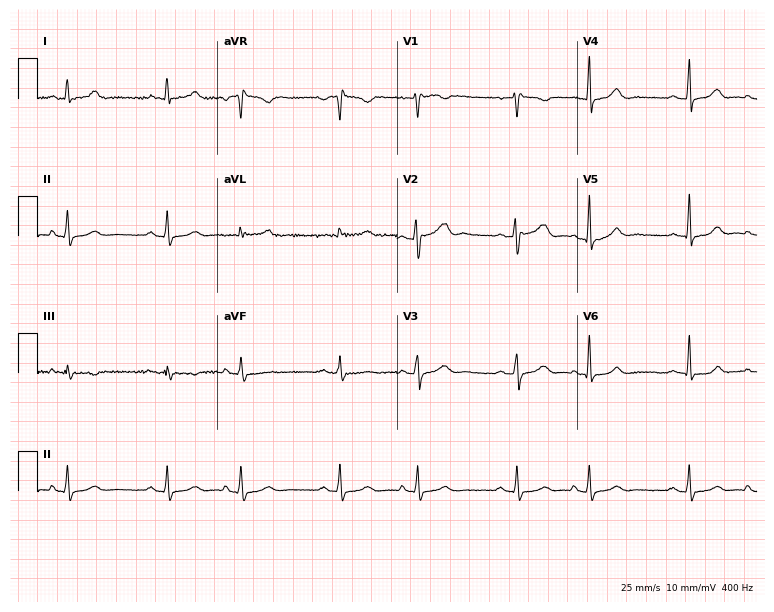
12-lead ECG from a woman, 32 years old. No first-degree AV block, right bundle branch block, left bundle branch block, sinus bradycardia, atrial fibrillation or sinus tachycardia recorded for this tracing.